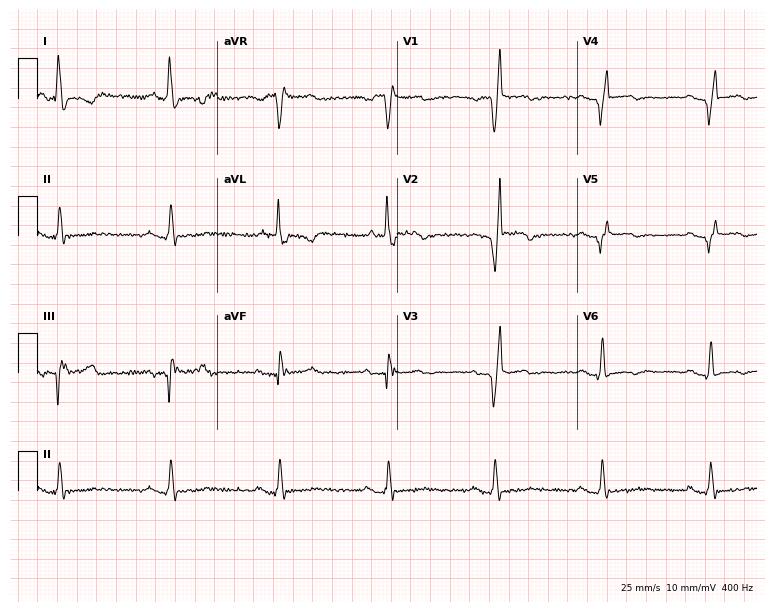
Standard 12-lead ECG recorded from a male, 64 years old. None of these six findings is recorded: first-degree AV block, right bundle branch block, left bundle branch block, sinus bradycardia, atrial fibrillation, sinus tachycardia.